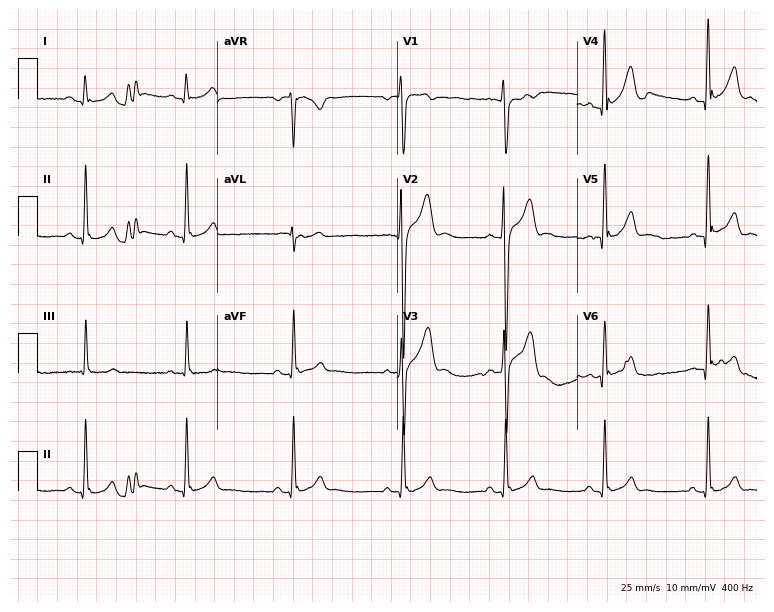
ECG (7.3-second recording at 400 Hz) — a 20-year-old male patient. Labelled as a normal ECG.